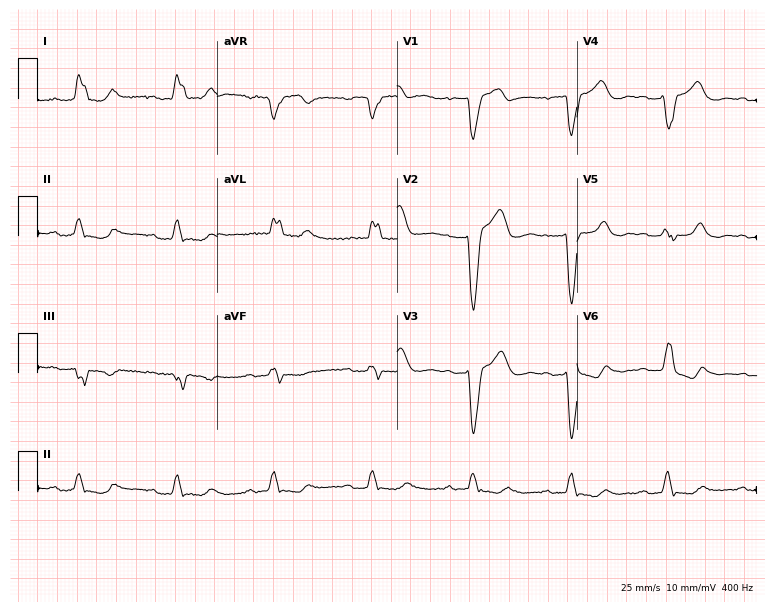
12-lead ECG from a female patient, 67 years old. Shows left bundle branch block (LBBB).